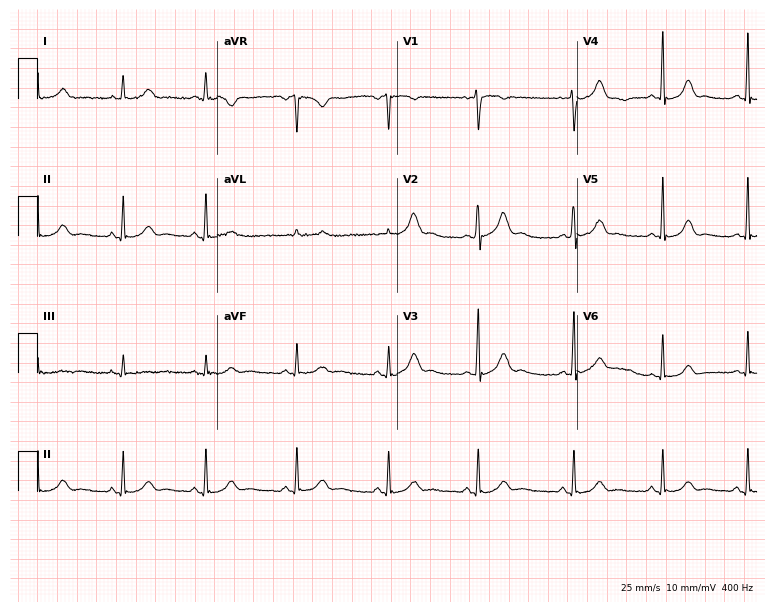
Electrocardiogram, a woman, 34 years old. Overall reading on record: normal ECG.